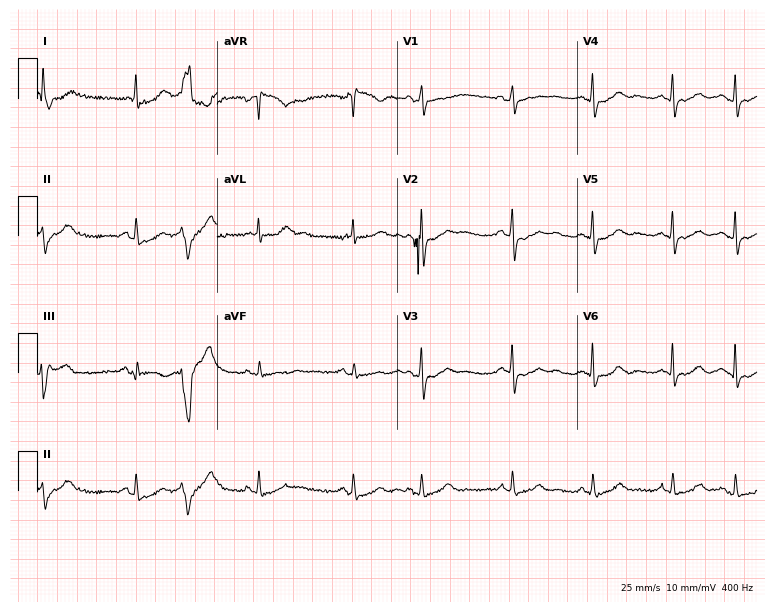
Resting 12-lead electrocardiogram. Patient: a female, 84 years old. None of these six findings is recorded: first-degree AV block, right bundle branch block, left bundle branch block, sinus bradycardia, atrial fibrillation, sinus tachycardia.